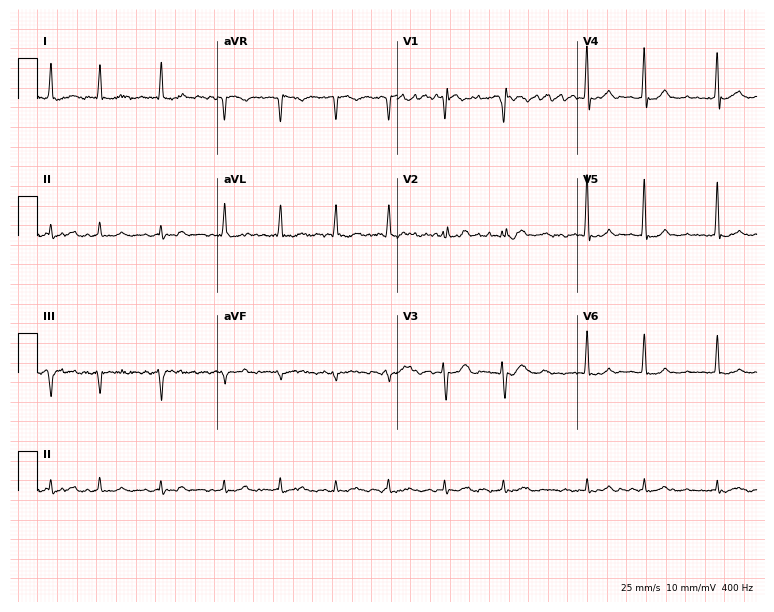
Resting 12-lead electrocardiogram (7.3-second recording at 400 Hz). Patient: a 69-year-old man. None of these six findings is recorded: first-degree AV block, right bundle branch block, left bundle branch block, sinus bradycardia, atrial fibrillation, sinus tachycardia. Other findings, if any, are not listed.